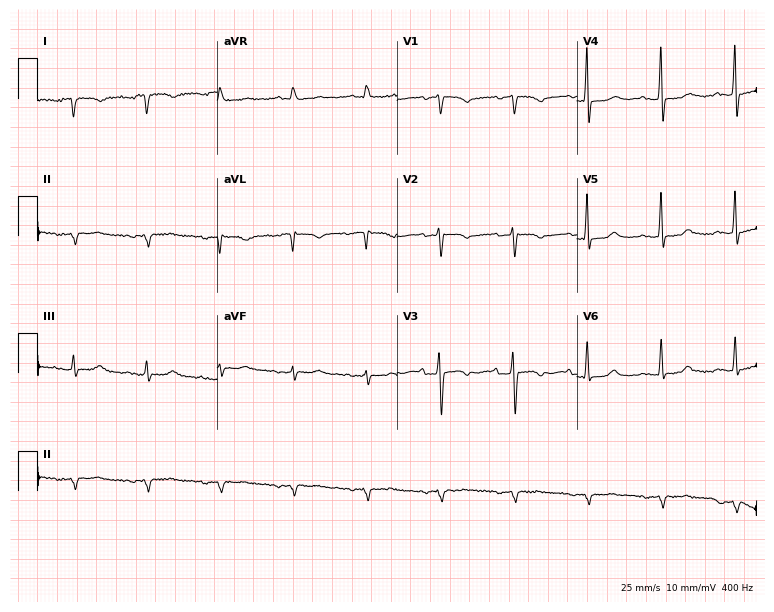
12-lead ECG from a 64-year-old female. No first-degree AV block, right bundle branch block, left bundle branch block, sinus bradycardia, atrial fibrillation or sinus tachycardia recorded for this tracing.